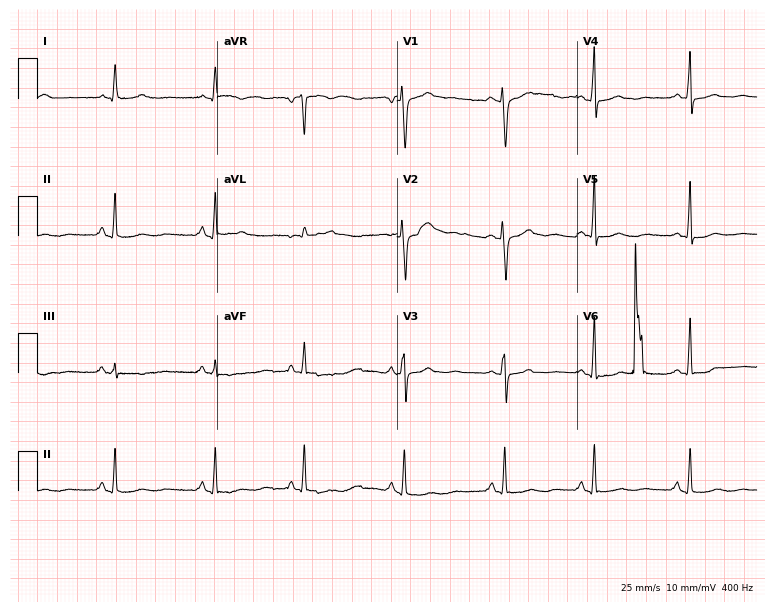
Electrocardiogram, a 43-year-old female. Of the six screened findings (first-degree AV block, right bundle branch block (RBBB), left bundle branch block (LBBB), sinus bradycardia, atrial fibrillation (AF), sinus tachycardia), none is recorded. Other findings, if any, are not listed.